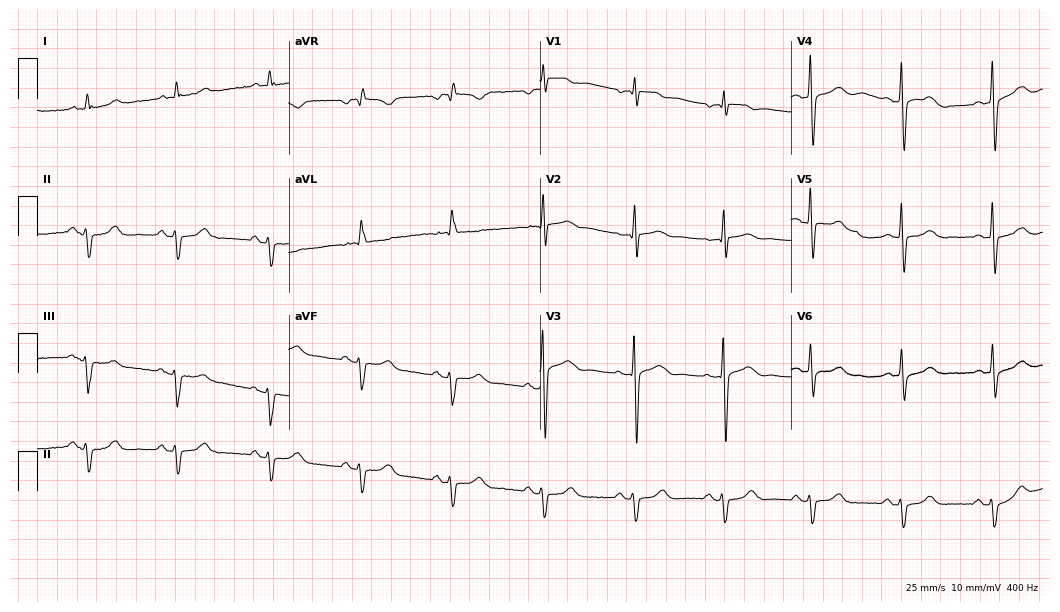
12-lead ECG (10.2-second recording at 400 Hz) from a 77-year-old man. Screened for six findings — first-degree AV block, right bundle branch block, left bundle branch block, sinus bradycardia, atrial fibrillation, sinus tachycardia — none is recorded. Only these six findings were labelled.